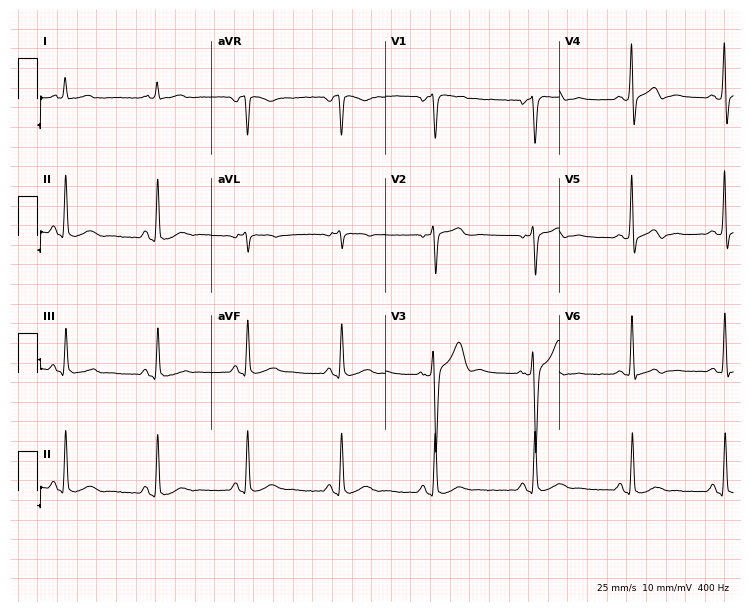
12-lead ECG from a 56-year-old male patient (7.1-second recording at 400 Hz). No first-degree AV block, right bundle branch block, left bundle branch block, sinus bradycardia, atrial fibrillation or sinus tachycardia recorded for this tracing. Other findings, if any, are not listed.